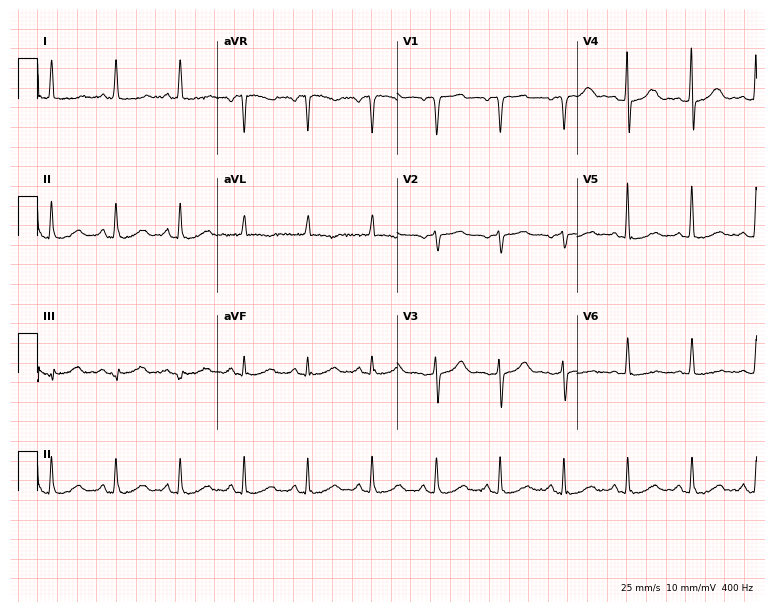
Standard 12-lead ECG recorded from a female patient, 76 years old. None of these six findings is recorded: first-degree AV block, right bundle branch block, left bundle branch block, sinus bradycardia, atrial fibrillation, sinus tachycardia.